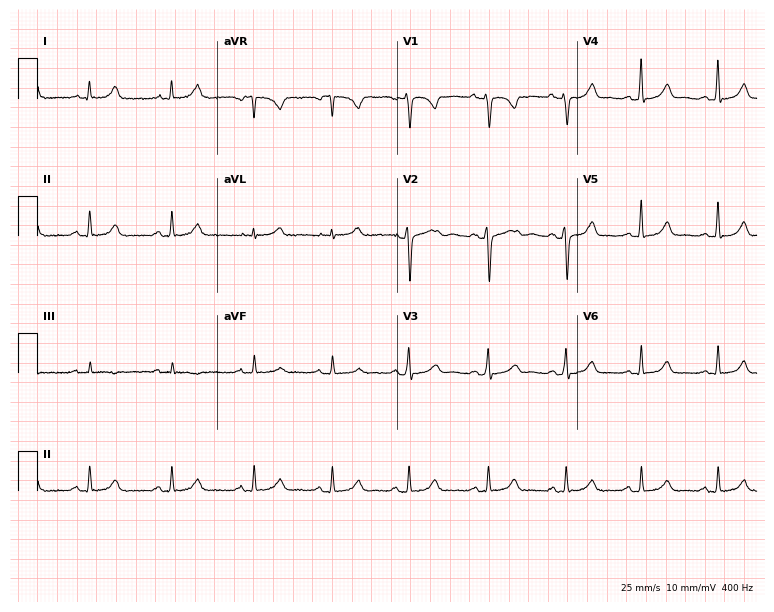
Standard 12-lead ECG recorded from a female, 38 years old. Read as a normal ECG.